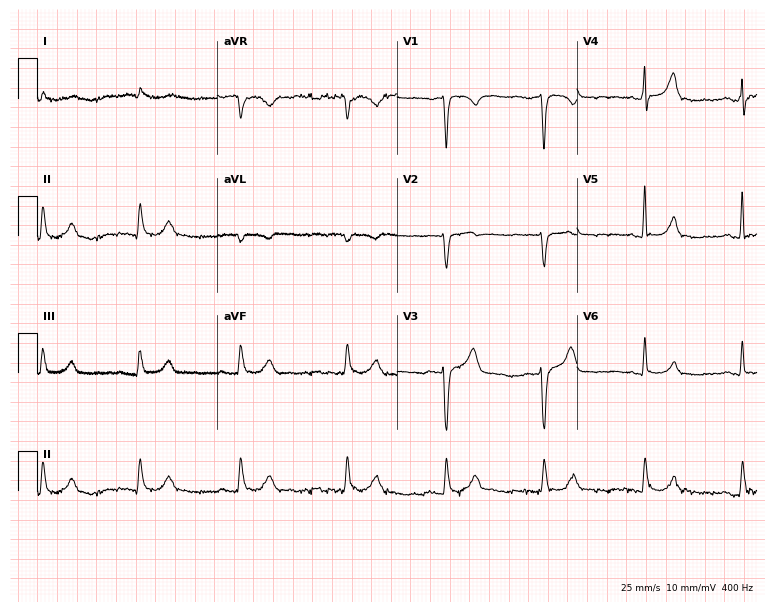
Electrocardiogram (7.3-second recording at 400 Hz), a 53-year-old male patient. Of the six screened findings (first-degree AV block, right bundle branch block, left bundle branch block, sinus bradycardia, atrial fibrillation, sinus tachycardia), none is recorded.